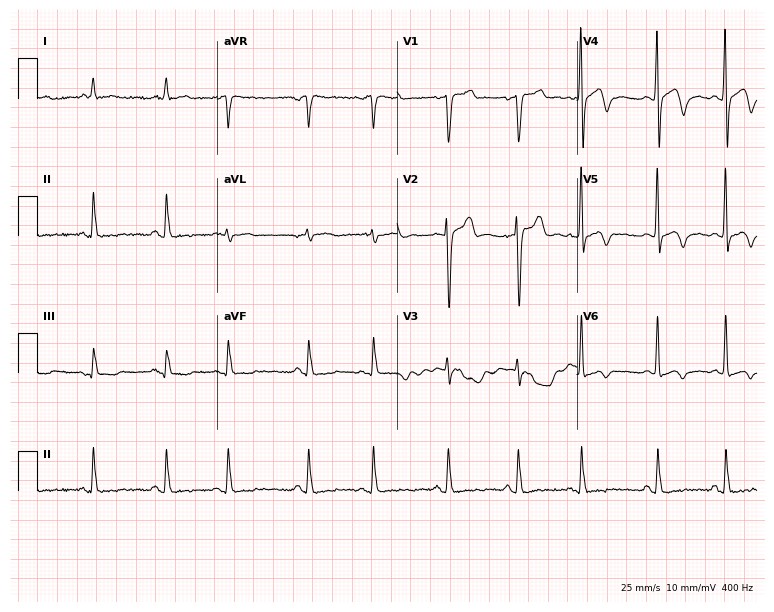
ECG (7.3-second recording at 400 Hz) — a 78-year-old male. Screened for six findings — first-degree AV block, right bundle branch block (RBBB), left bundle branch block (LBBB), sinus bradycardia, atrial fibrillation (AF), sinus tachycardia — none is recorded. Only these six findings were labelled.